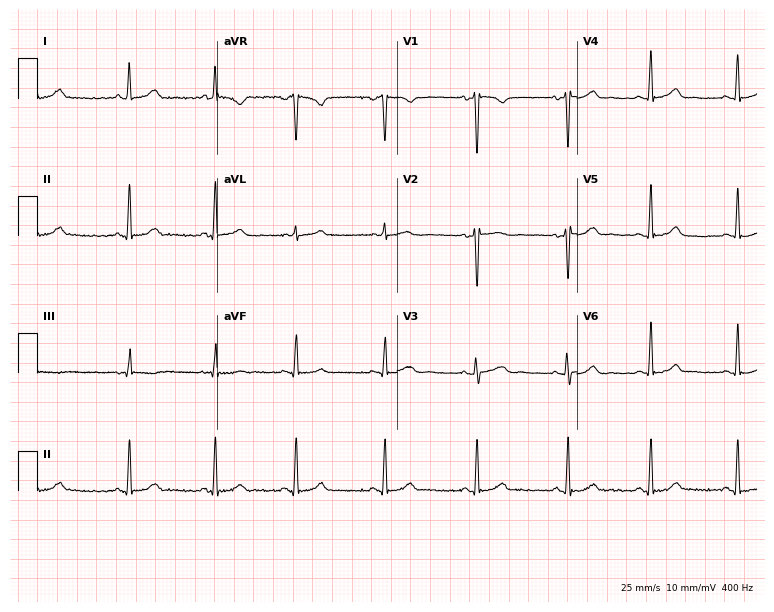
Standard 12-lead ECG recorded from a 23-year-old woman (7.3-second recording at 400 Hz). None of these six findings is recorded: first-degree AV block, right bundle branch block, left bundle branch block, sinus bradycardia, atrial fibrillation, sinus tachycardia. Only these six findings were labelled.